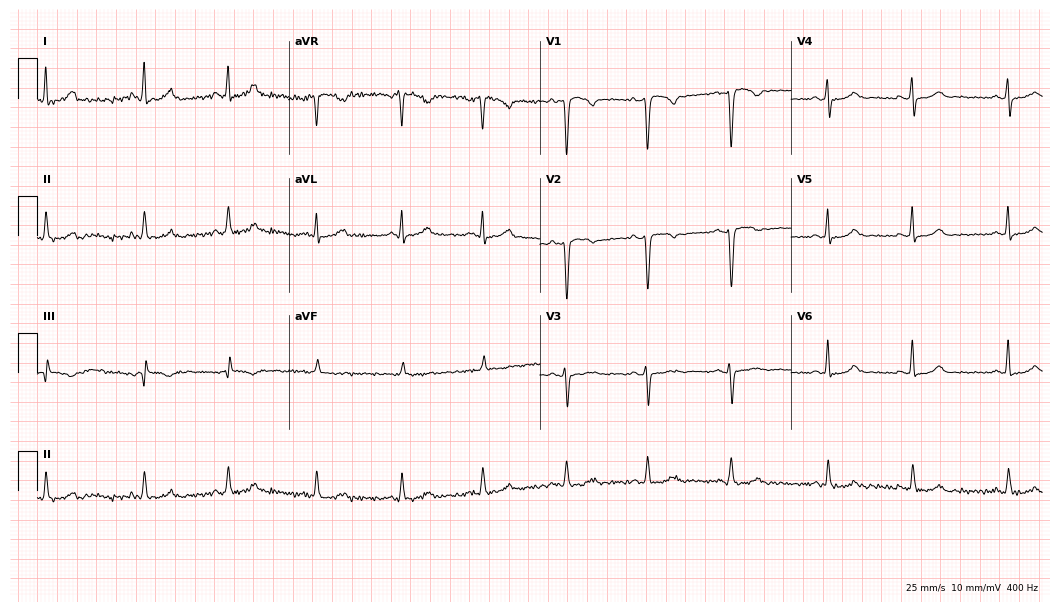
Resting 12-lead electrocardiogram (10.2-second recording at 400 Hz). Patient: a female, 34 years old. None of these six findings is recorded: first-degree AV block, right bundle branch block (RBBB), left bundle branch block (LBBB), sinus bradycardia, atrial fibrillation (AF), sinus tachycardia.